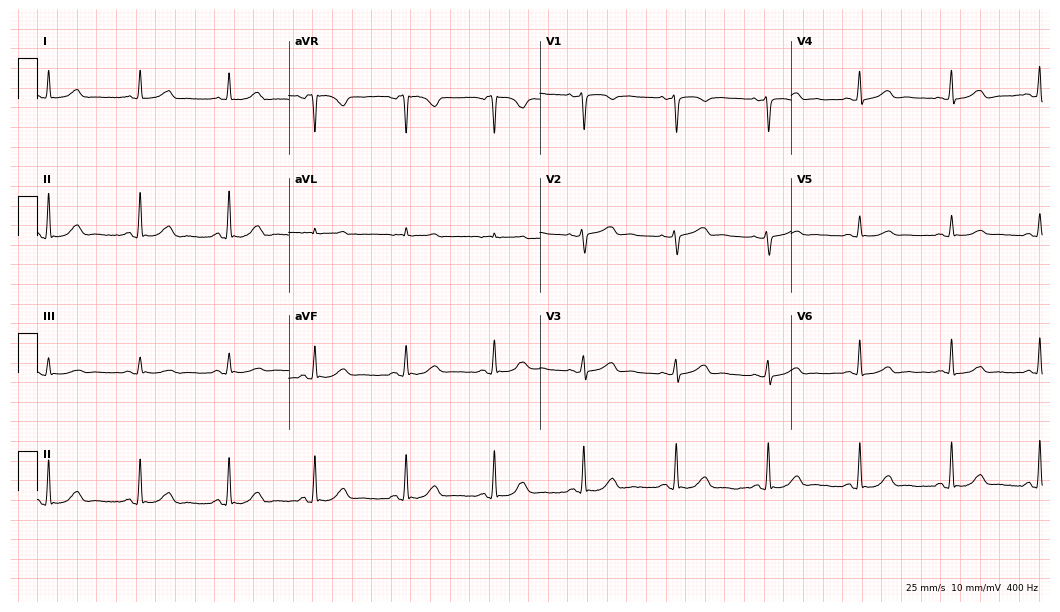
12-lead ECG from a 50-year-old female (10.2-second recording at 400 Hz). Recorded interpretation: within normal limits.